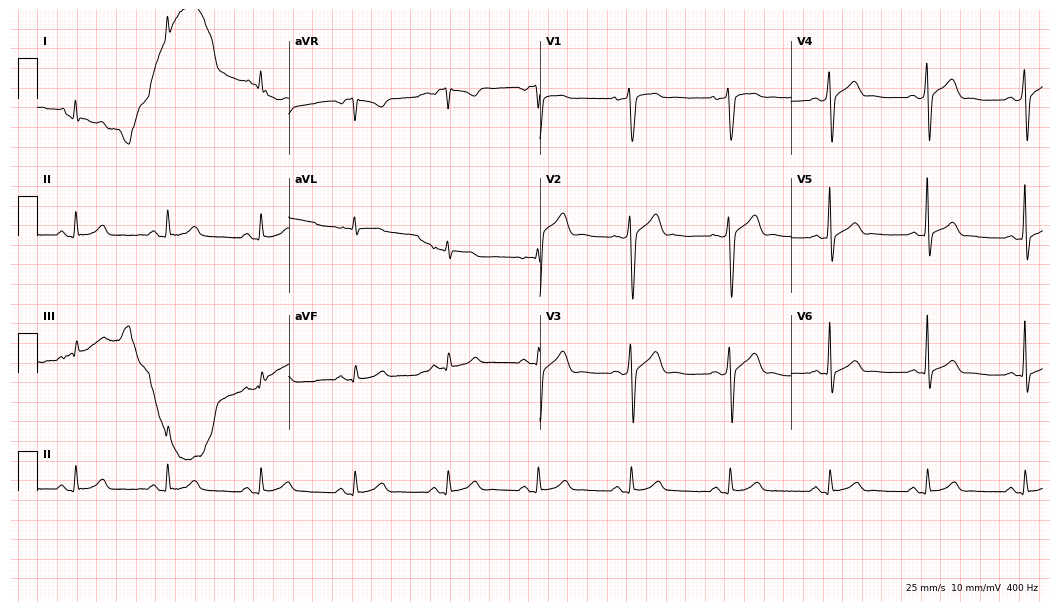
Electrocardiogram, a 41-year-old male patient. Of the six screened findings (first-degree AV block, right bundle branch block, left bundle branch block, sinus bradycardia, atrial fibrillation, sinus tachycardia), none is recorded.